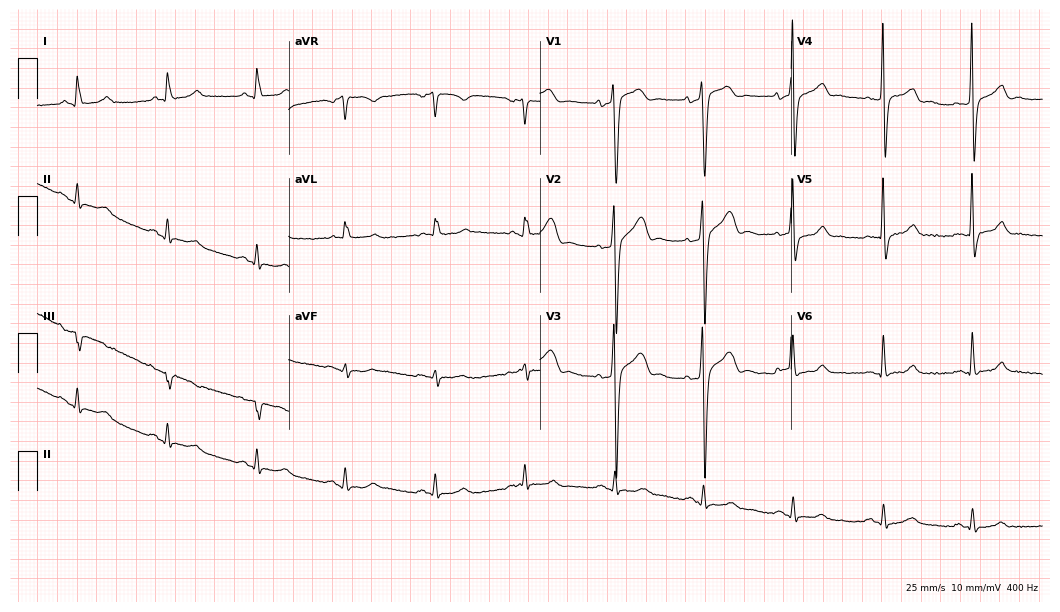
Electrocardiogram, a man, 54 years old. Of the six screened findings (first-degree AV block, right bundle branch block (RBBB), left bundle branch block (LBBB), sinus bradycardia, atrial fibrillation (AF), sinus tachycardia), none is recorded. Only these six findings were labelled.